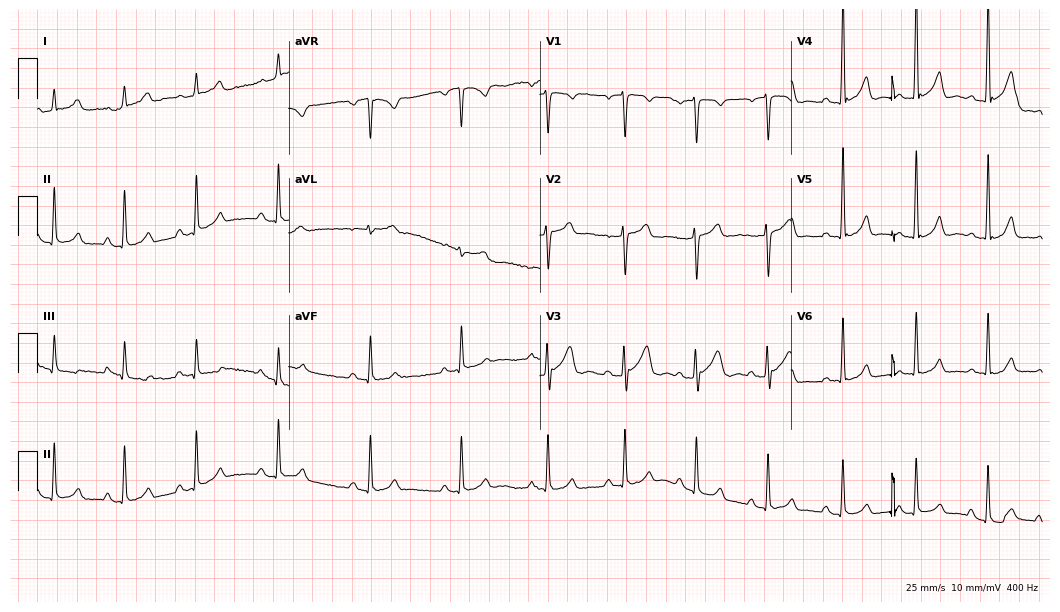
Resting 12-lead electrocardiogram (10.2-second recording at 400 Hz). Patient: a male, 22 years old. Read as a normal ECG.